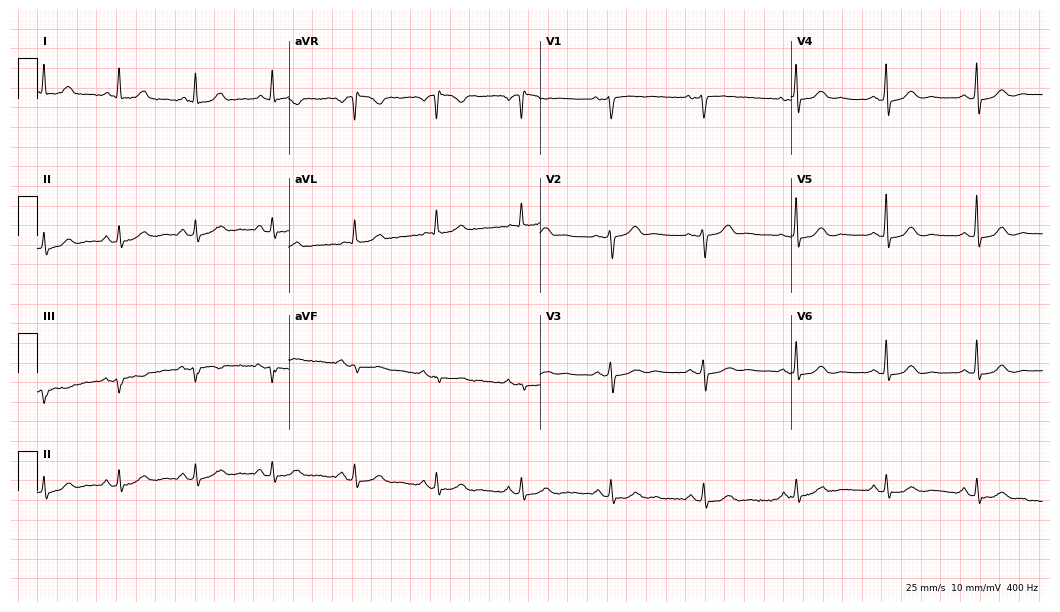
12-lead ECG from a female, 70 years old (10.2-second recording at 400 Hz). Recorded interpretation: within normal limits.